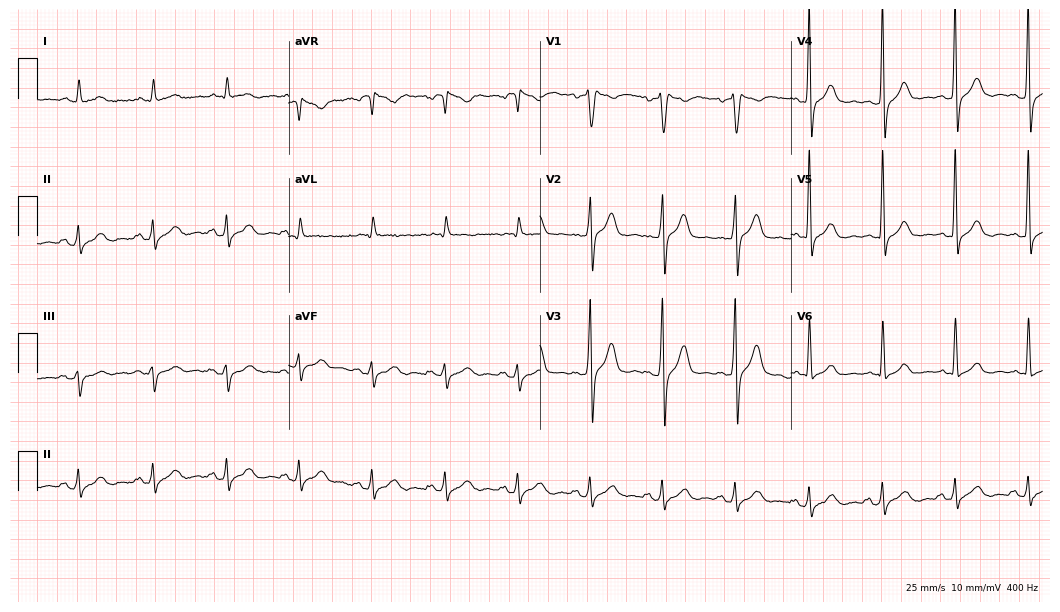
Standard 12-lead ECG recorded from a 70-year-old male (10.2-second recording at 400 Hz). None of these six findings is recorded: first-degree AV block, right bundle branch block, left bundle branch block, sinus bradycardia, atrial fibrillation, sinus tachycardia. Only these six findings were labelled.